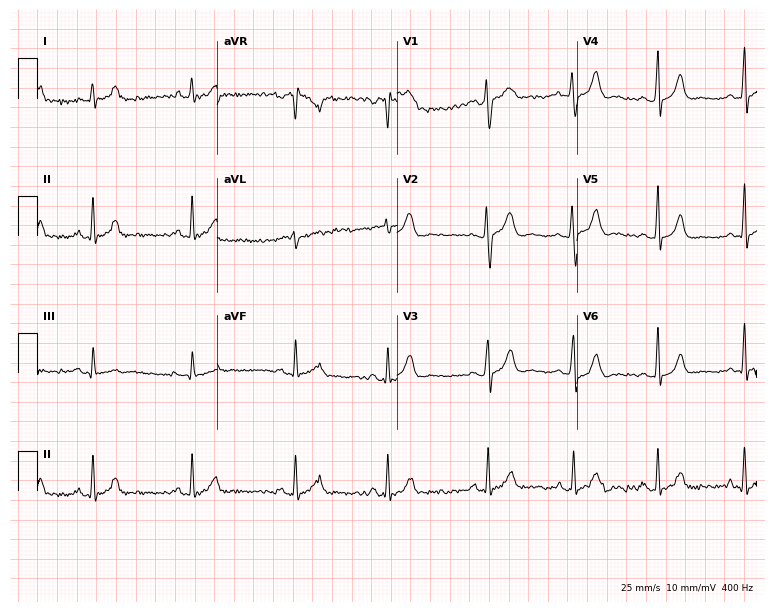
Standard 12-lead ECG recorded from a 19-year-old woman. None of these six findings is recorded: first-degree AV block, right bundle branch block, left bundle branch block, sinus bradycardia, atrial fibrillation, sinus tachycardia.